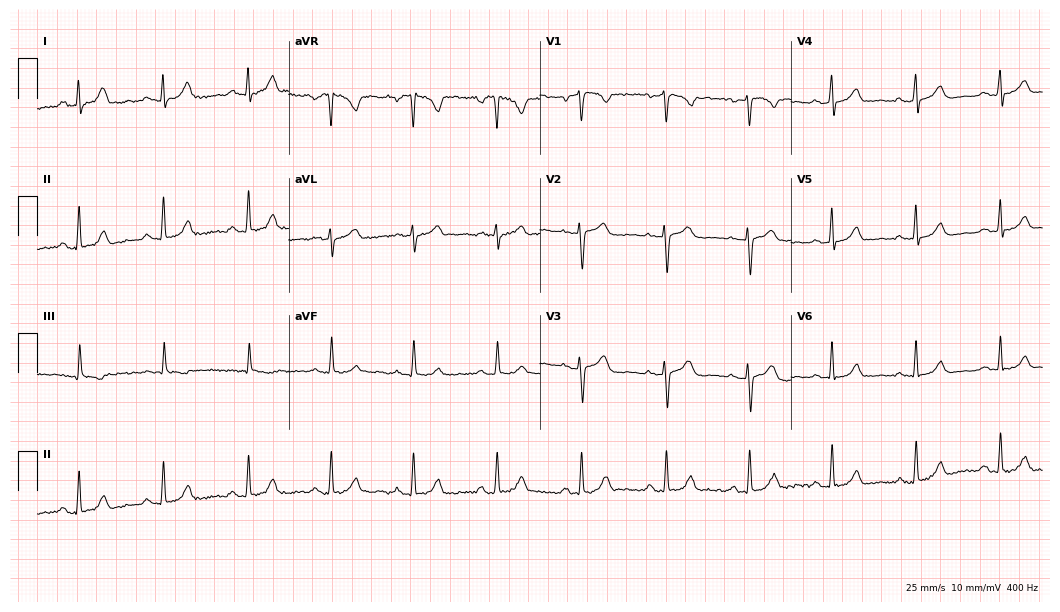
Resting 12-lead electrocardiogram (10.2-second recording at 400 Hz). Patient: a 39-year-old female. None of these six findings is recorded: first-degree AV block, right bundle branch block, left bundle branch block, sinus bradycardia, atrial fibrillation, sinus tachycardia.